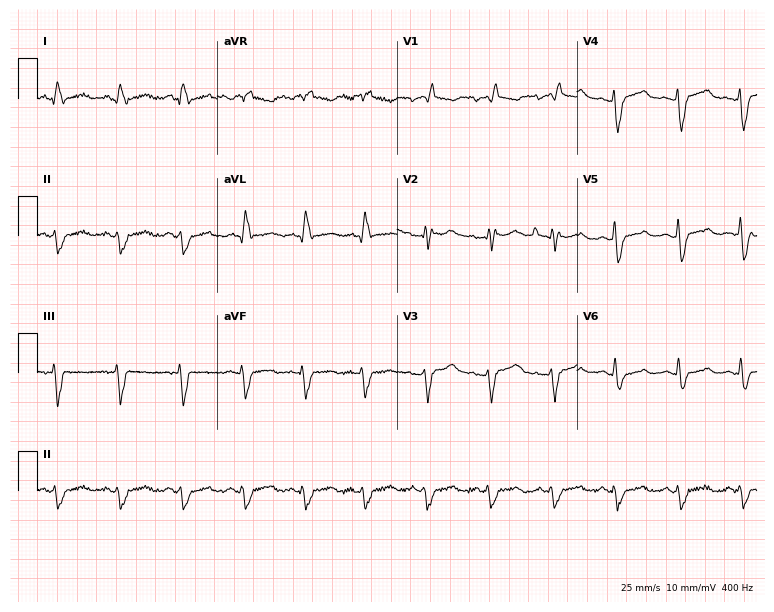
ECG (7.3-second recording at 400 Hz) — a man, 56 years old. Findings include right bundle branch block.